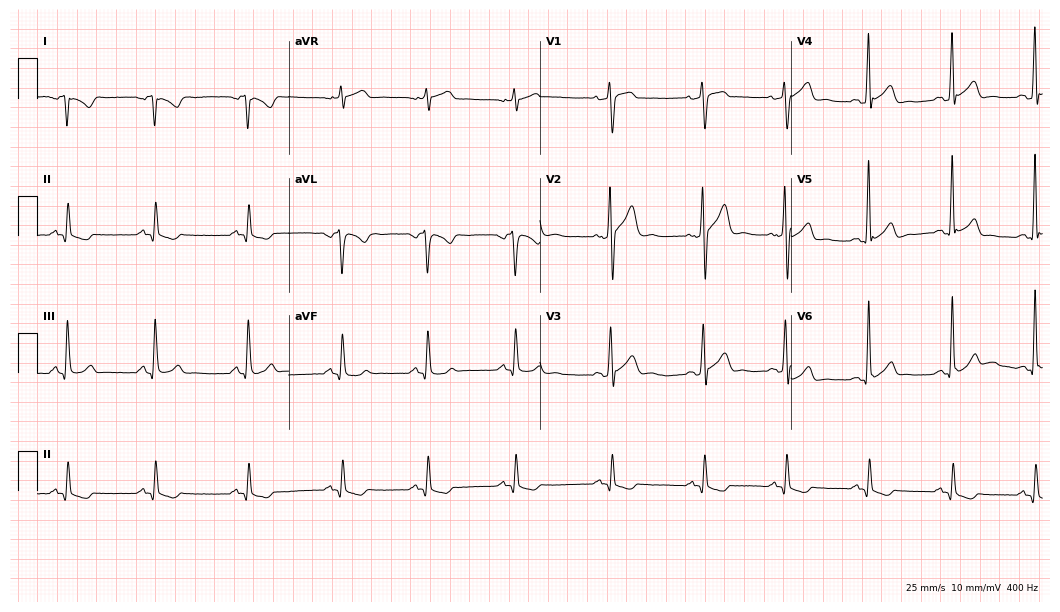
Electrocardiogram, a 31-year-old man. Of the six screened findings (first-degree AV block, right bundle branch block (RBBB), left bundle branch block (LBBB), sinus bradycardia, atrial fibrillation (AF), sinus tachycardia), none is recorded. Other findings, if any, are not listed.